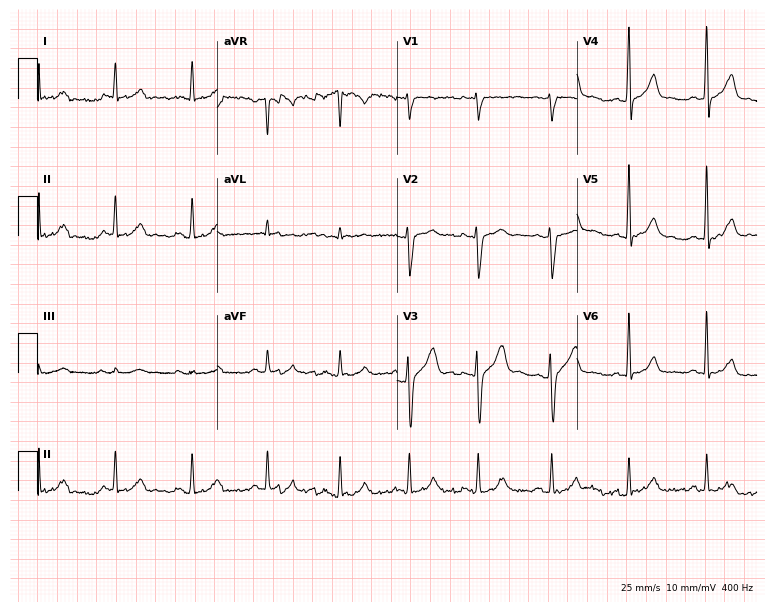
12-lead ECG from a male patient, 35 years old. No first-degree AV block, right bundle branch block, left bundle branch block, sinus bradycardia, atrial fibrillation or sinus tachycardia recorded for this tracing.